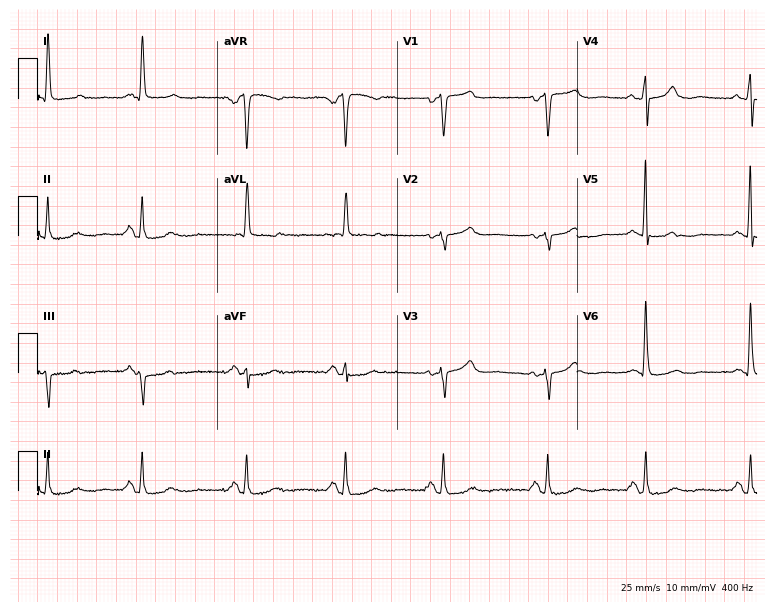
12-lead ECG from a 63-year-old female. Findings include sinus bradycardia (a sinus rate of 50 beats per minute or less).